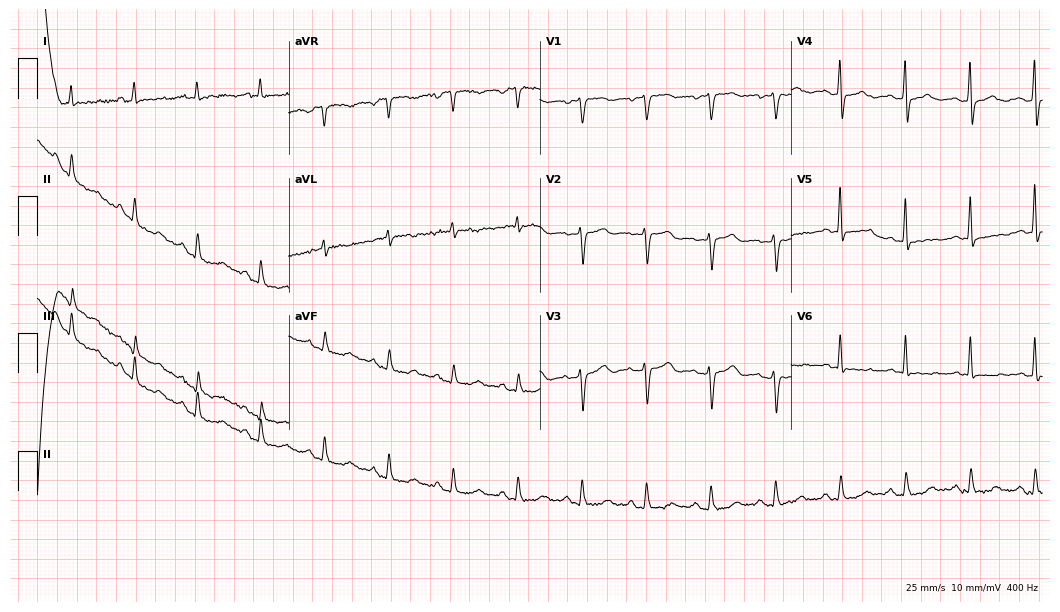
12-lead ECG from a 69-year-old female patient. Screened for six findings — first-degree AV block, right bundle branch block, left bundle branch block, sinus bradycardia, atrial fibrillation, sinus tachycardia — none is recorded.